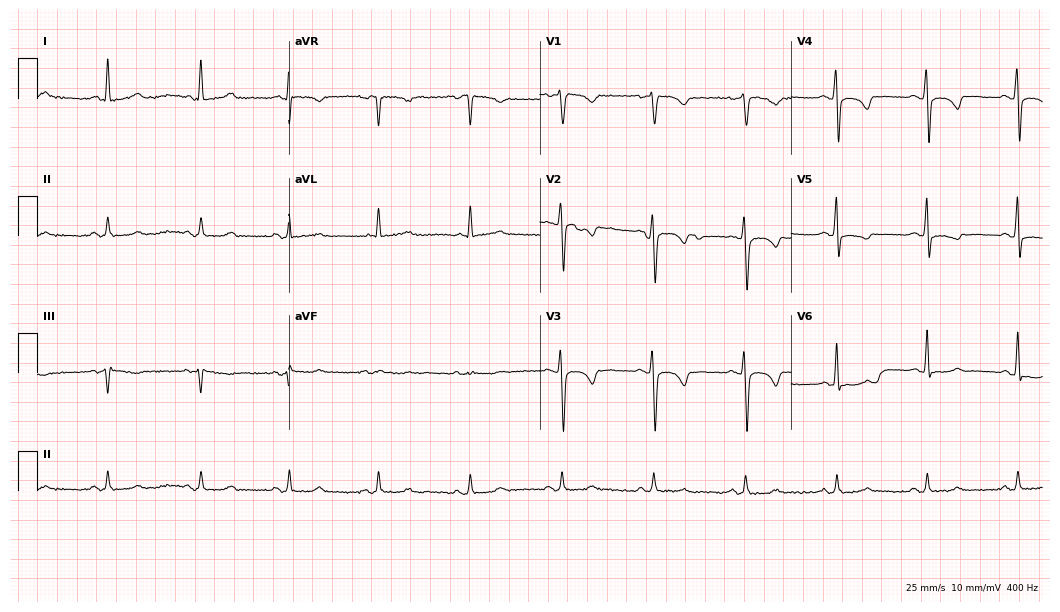
12-lead ECG (10.2-second recording at 400 Hz) from a 49-year-old woman. Screened for six findings — first-degree AV block, right bundle branch block, left bundle branch block, sinus bradycardia, atrial fibrillation, sinus tachycardia — none is recorded. Findings outside these six are not listed.